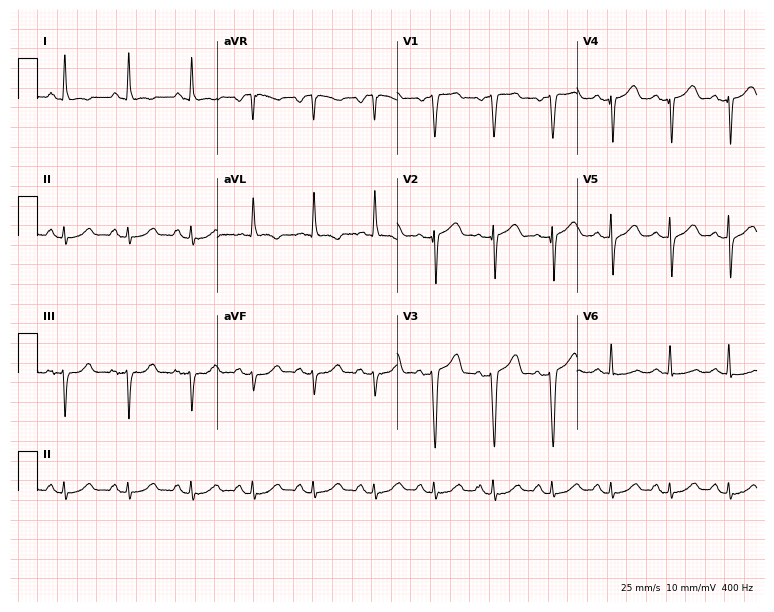
Electrocardiogram (7.3-second recording at 400 Hz), a female patient, 68 years old. Of the six screened findings (first-degree AV block, right bundle branch block, left bundle branch block, sinus bradycardia, atrial fibrillation, sinus tachycardia), none is recorded.